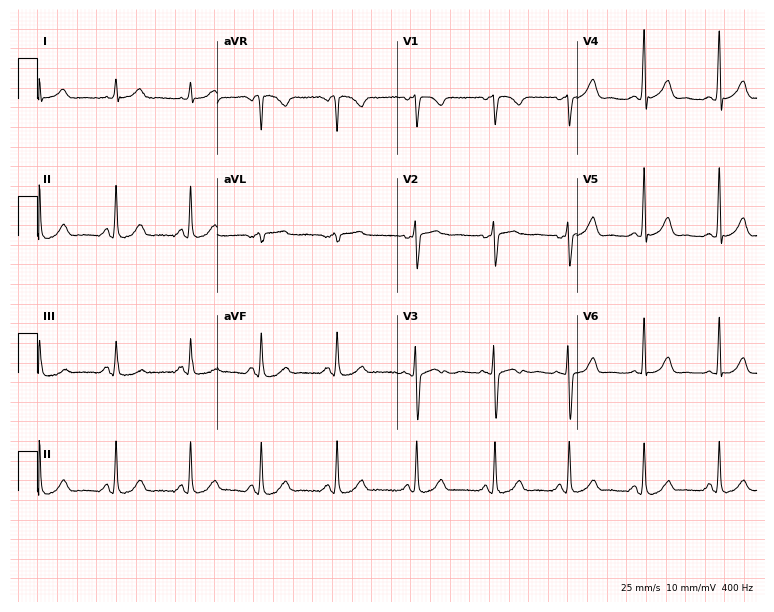
ECG (7.3-second recording at 400 Hz) — a 24-year-old woman. Labelled as a normal ECG.